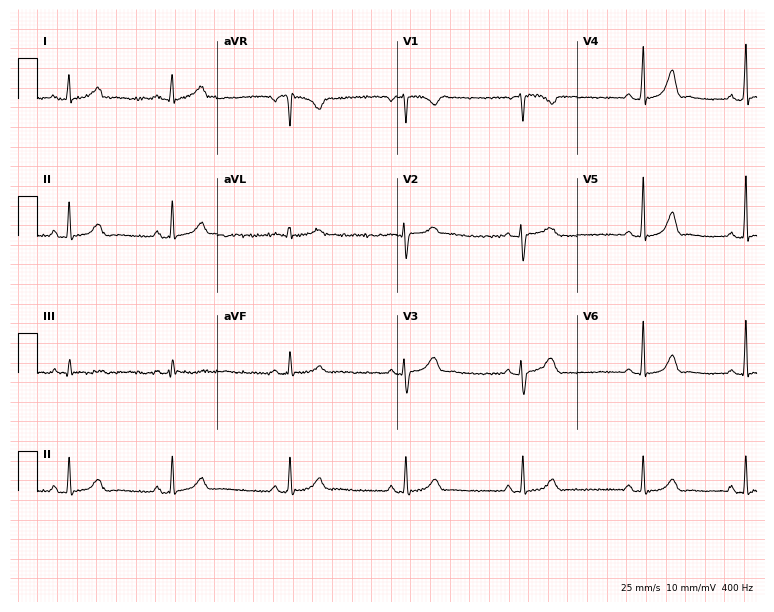
Resting 12-lead electrocardiogram (7.3-second recording at 400 Hz). Patient: a 32-year-old woman. Read as a normal ECG.